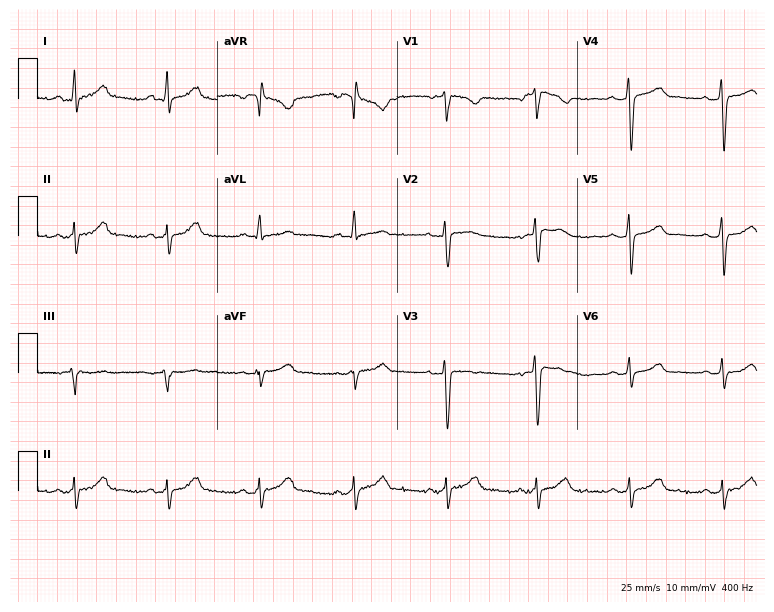
12-lead ECG from a 54-year-old female patient. Recorded interpretation: within normal limits.